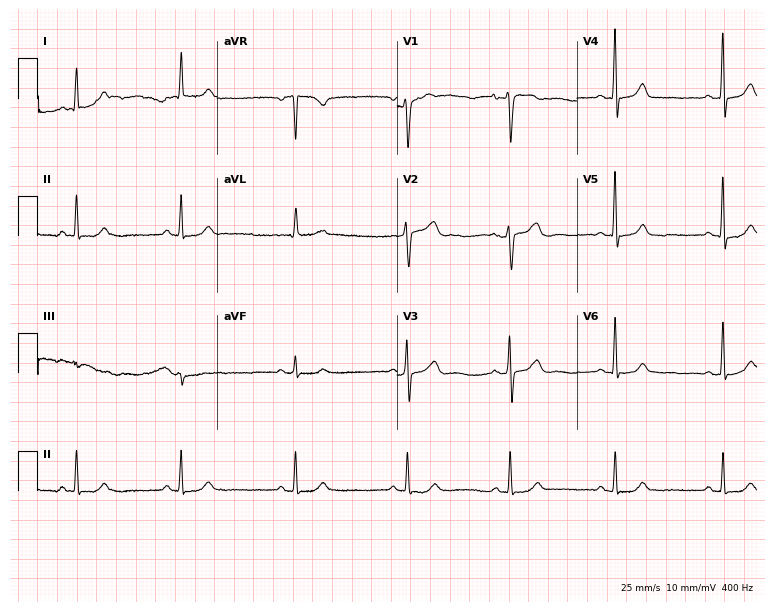
12-lead ECG from a 62-year-old female (7.3-second recording at 400 Hz). Recorded interpretation: within normal limits.